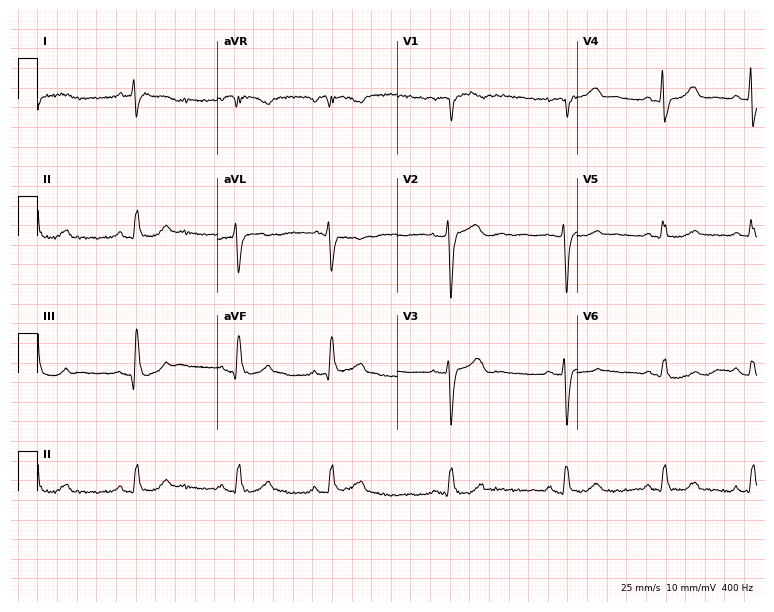
Electrocardiogram, a 69-year-old female patient. Of the six screened findings (first-degree AV block, right bundle branch block, left bundle branch block, sinus bradycardia, atrial fibrillation, sinus tachycardia), none is recorded.